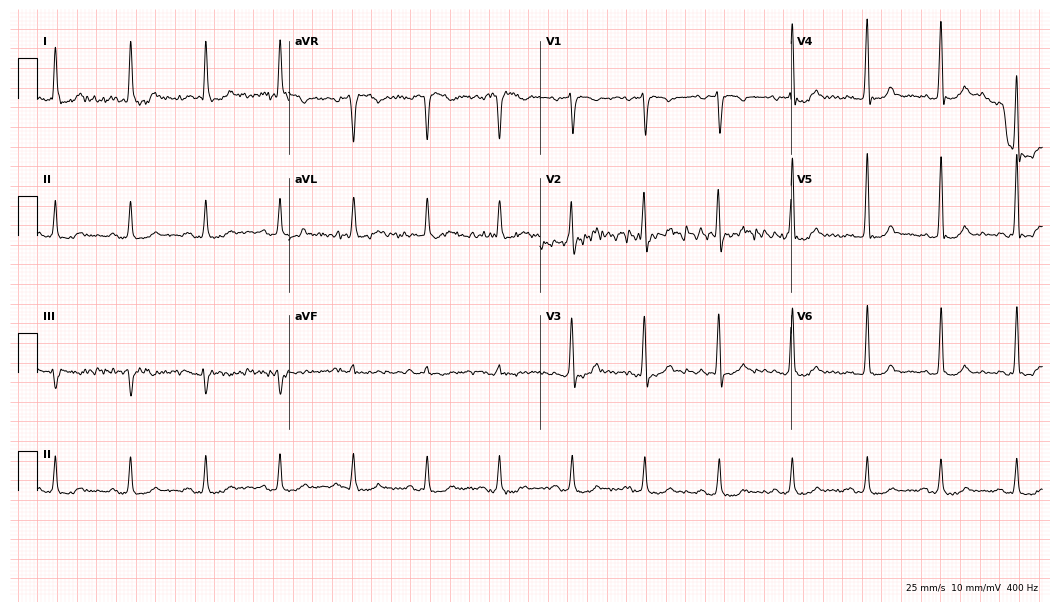
12-lead ECG from a 47-year-old male patient. No first-degree AV block, right bundle branch block (RBBB), left bundle branch block (LBBB), sinus bradycardia, atrial fibrillation (AF) or sinus tachycardia recorded for this tracing.